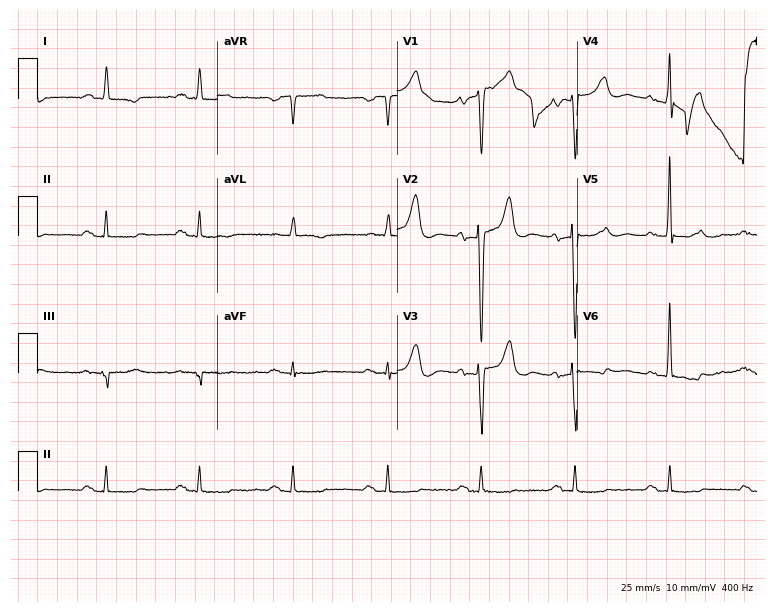
Resting 12-lead electrocardiogram. Patient: a man, 59 years old. None of these six findings is recorded: first-degree AV block, right bundle branch block, left bundle branch block, sinus bradycardia, atrial fibrillation, sinus tachycardia.